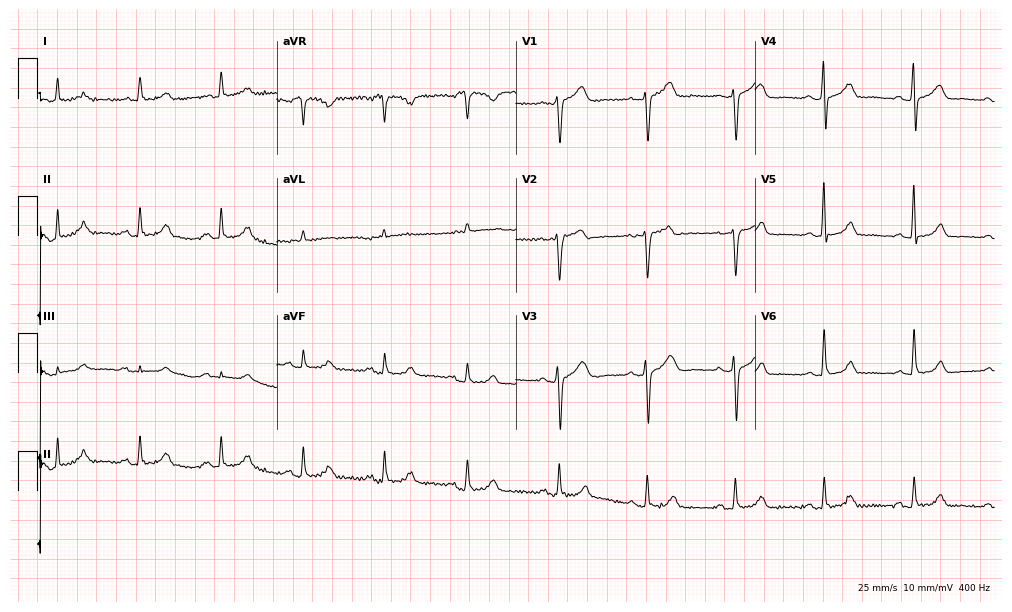
Electrocardiogram (9.8-second recording at 400 Hz), a 62-year-old man. Overall reading on record: normal ECG.